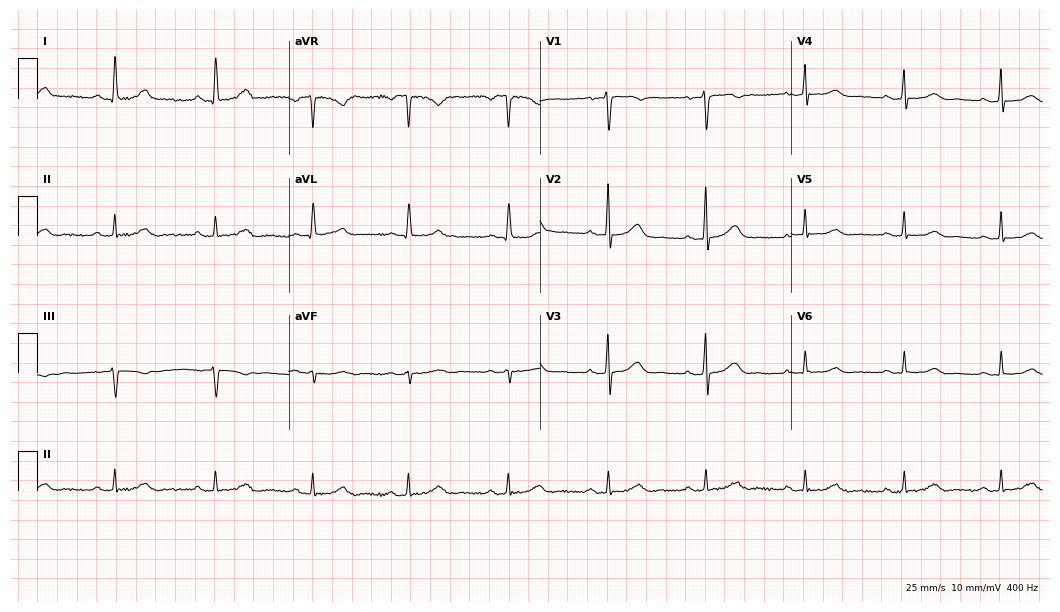
Standard 12-lead ECG recorded from a female patient, 51 years old. Read as a normal ECG.